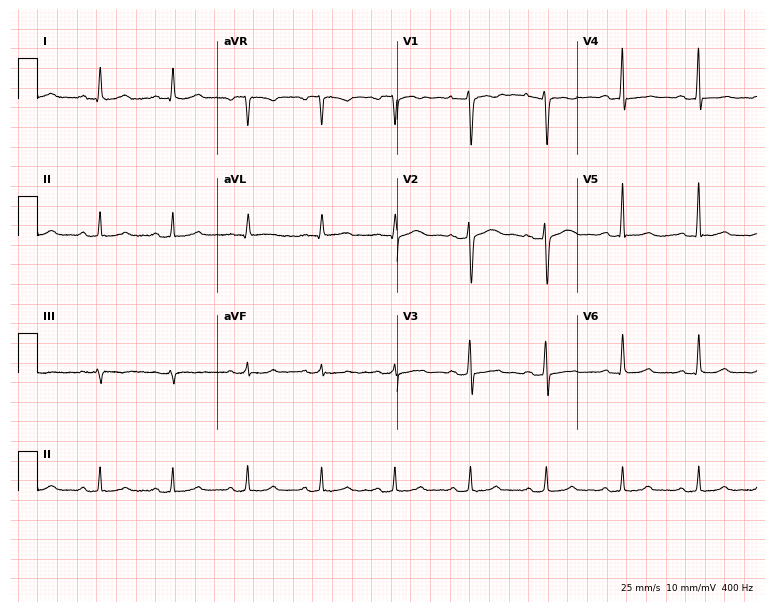
12-lead ECG from a woman, 44 years old. Screened for six findings — first-degree AV block, right bundle branch block, left bundle branch block, sinus bradycardia, atrial fibrillation, sinus tachycardia — none is recorded. Findings outside these six are not listed.